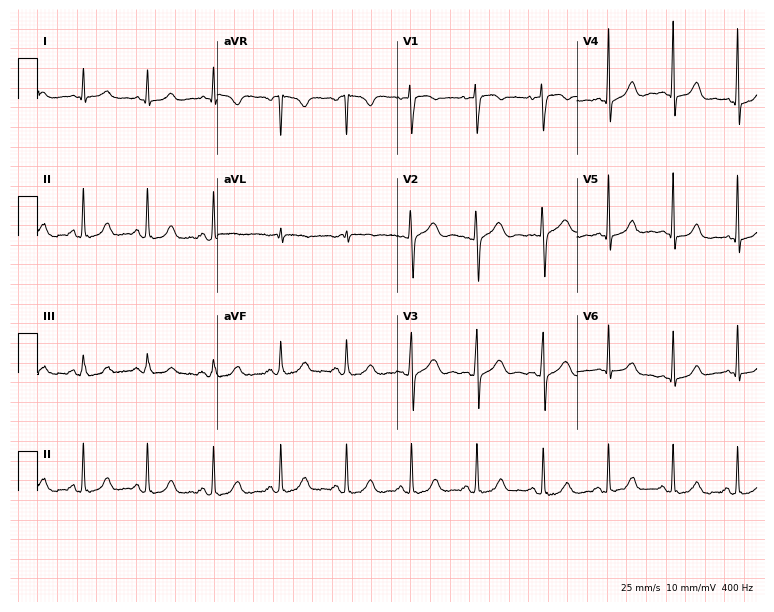
Standard 12-lead ECG recorded from a 36-year-old woman. None of these six findings is recorded: first-degree AV block, right bundle branch block (RBBB), left bundle branch block (LBBB), sinus bradycardia, atrial fibrillation (AF), sinus tachycardia.